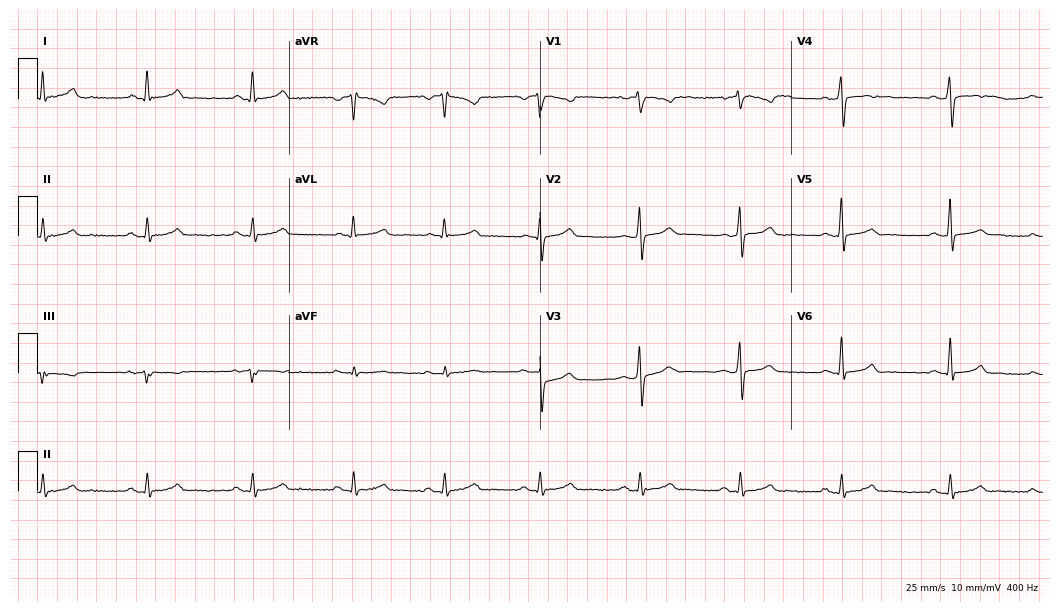
Resting 12-lead electrocardiogram (10.2-second recording at 400 Hz). Patient: a 40-year-old female. Read as a normal ECG.